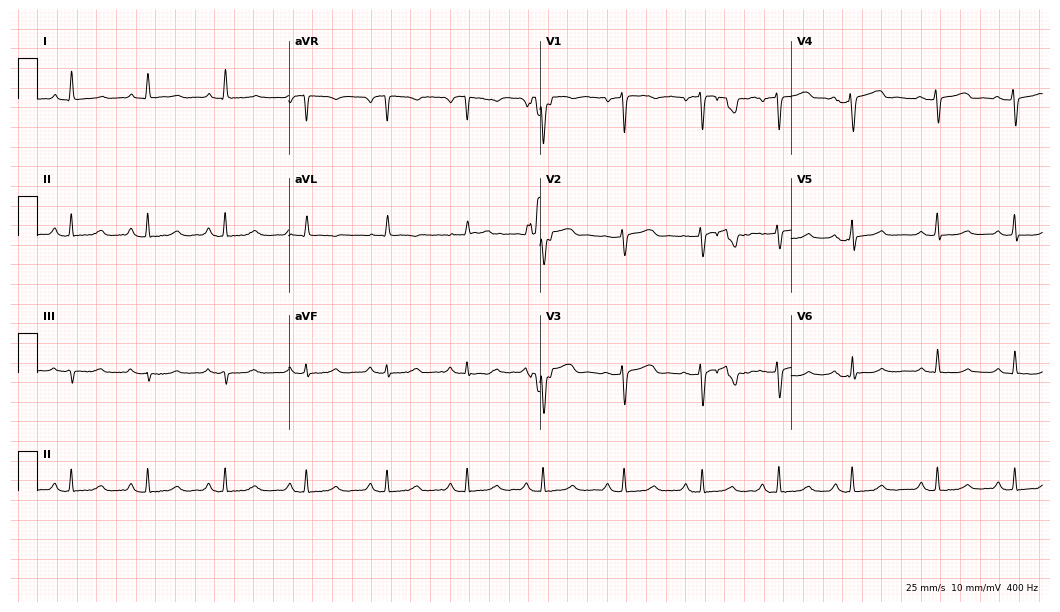
ECG (10.2-second recording at 400 Hz) — a 49-year-old female. Screened for six findings — first-degree AV block, right bundle branch block, left bundle branch block, sinus bradycardia, atrial fibrillation, sinus tachycardia — none is recorded. Only these six findings were labelled.